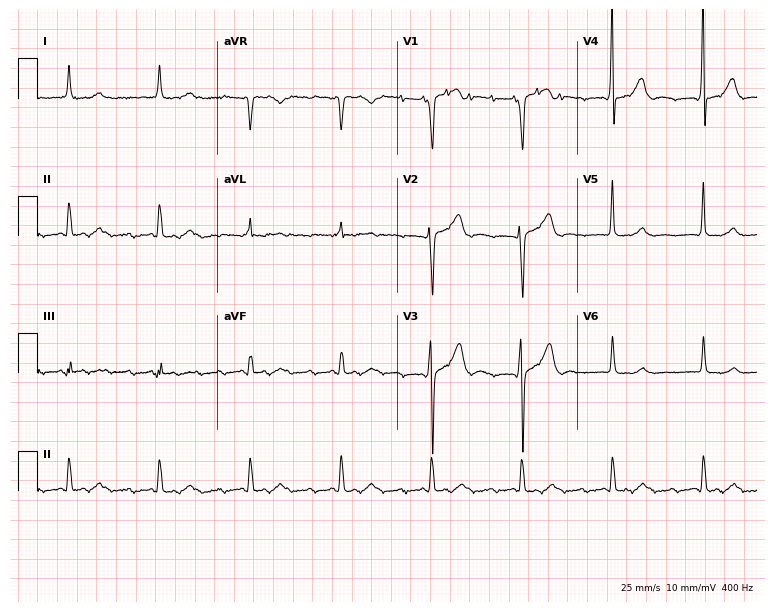
Standard 12-lead ECG recorded from a 79-year-old male patient (7.3-second recording at 400 Hz). The tracing shows first-degree AV block.